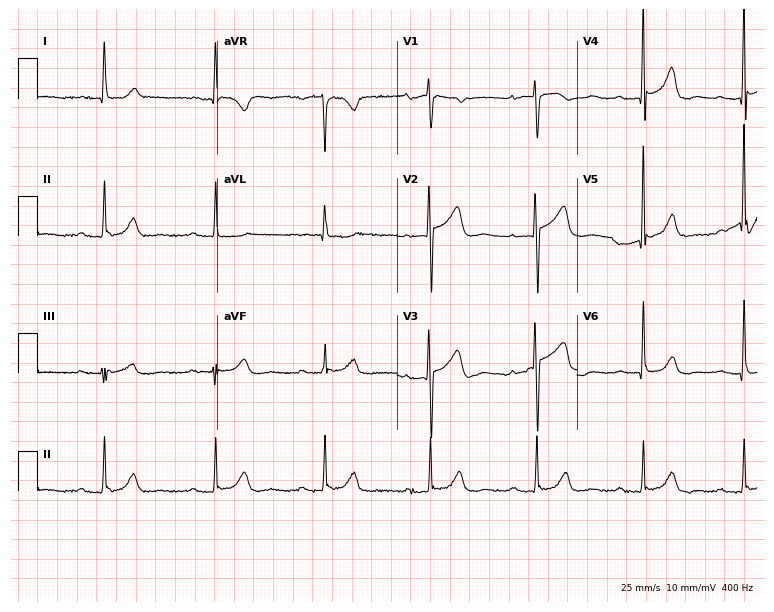
Standard 12-lead ECG recorded from an 82-year-old female patient. The tracing shows first-degree AV block.